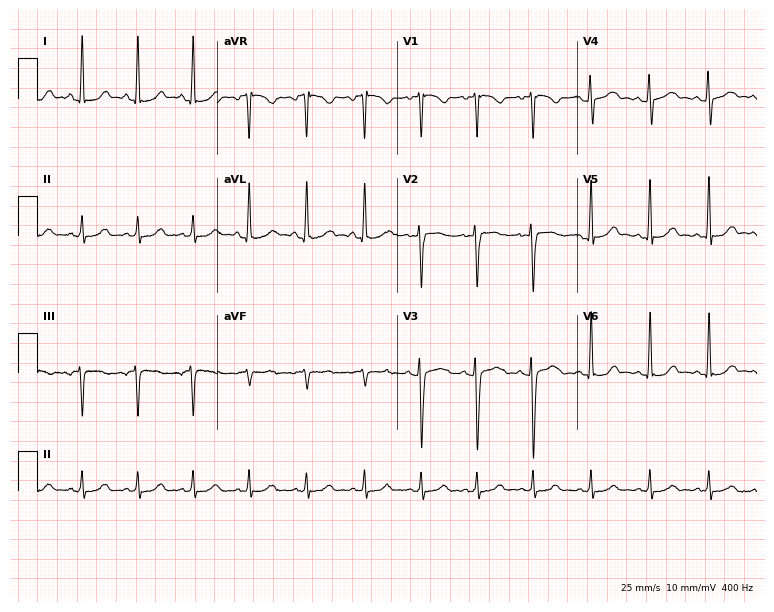
Resting 12-lead electrocardiogram. Patient: a woman, 17 years old. Read as a normal ECG.